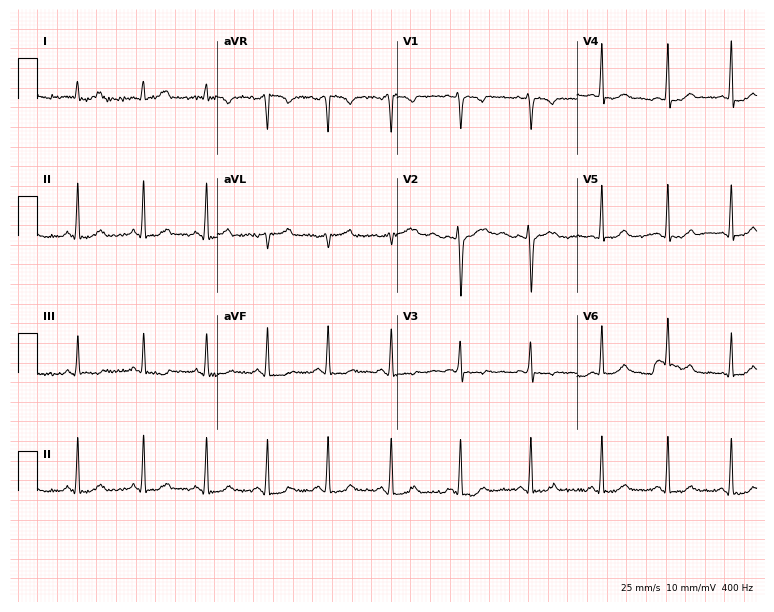
12-lead ECG from a 17-year-old woman. Screened for six findings — first-degree AV block, right bundle branch block (RBBB), left bundle branch block (LBBB), sinus bradycardia, atrial fibrillation (AF), sinus tachycardia — none is recorded.